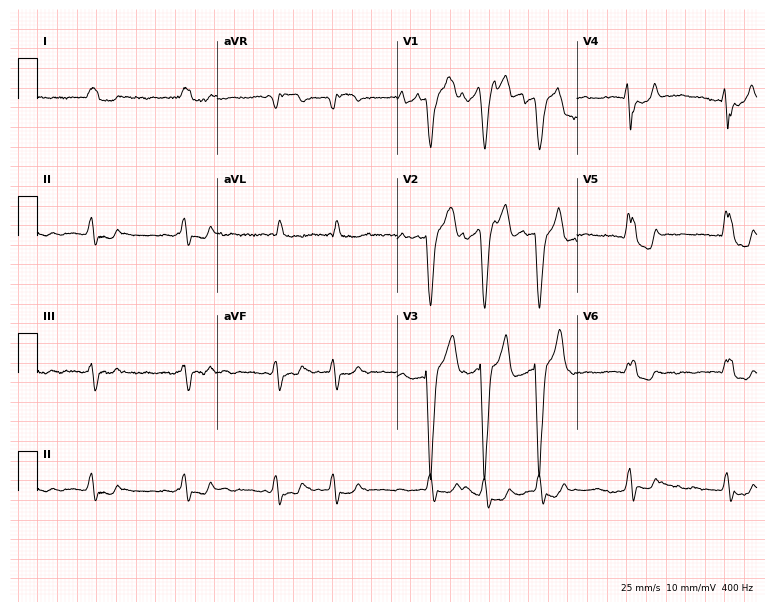
Resting 12-lead electrocardiogram. Patient: a 70-year-old male. The tracing shows left bundle branch block, atrial fibrillation.